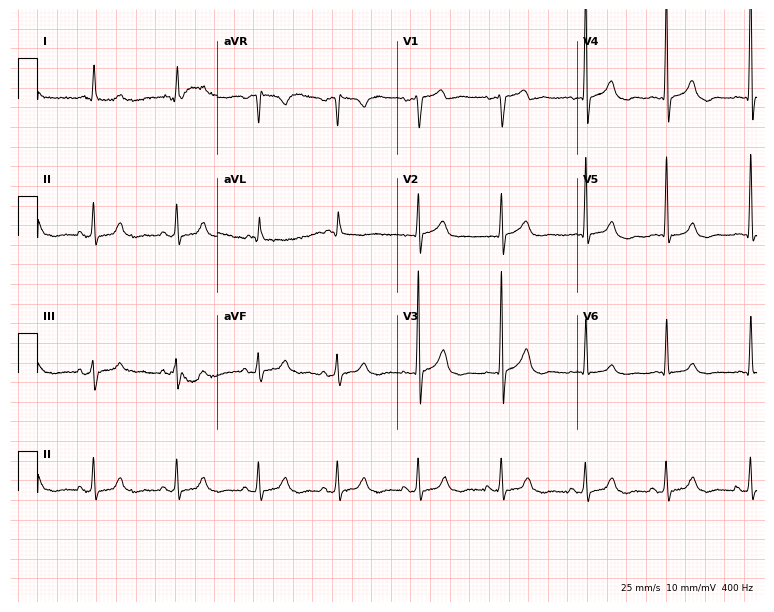
Resting 12-lead electrocardiogram. Patient: an 81-year-old male. None of these six findings is recorded: first-degree AV block, right bundle branch block, left bundle branch block, sinus bradycardia, atrial fibrillation, sinus tachycardia. Findings outside these six are not listed.